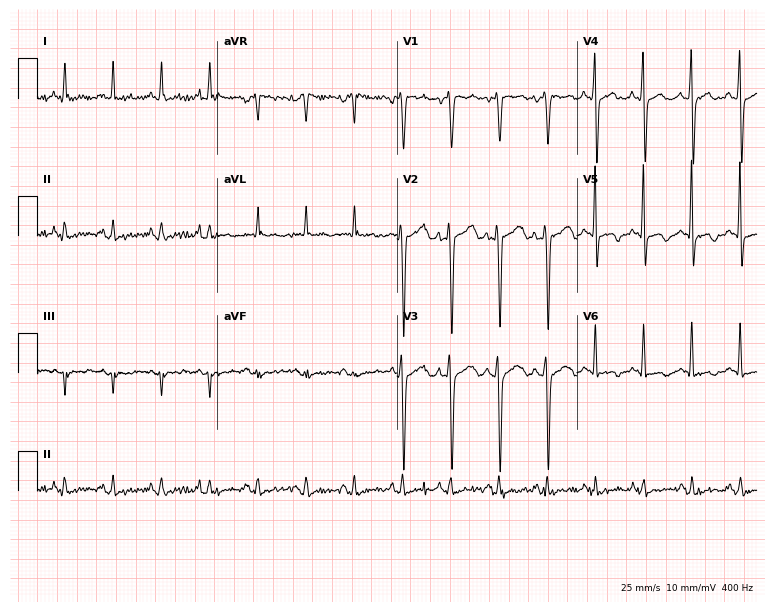
12-lead ECG from a male, 28 years old (7.3-second recording at 400 Hz). Shows sinus tachycardia (a sinus rate of 100 beats per minute or more).